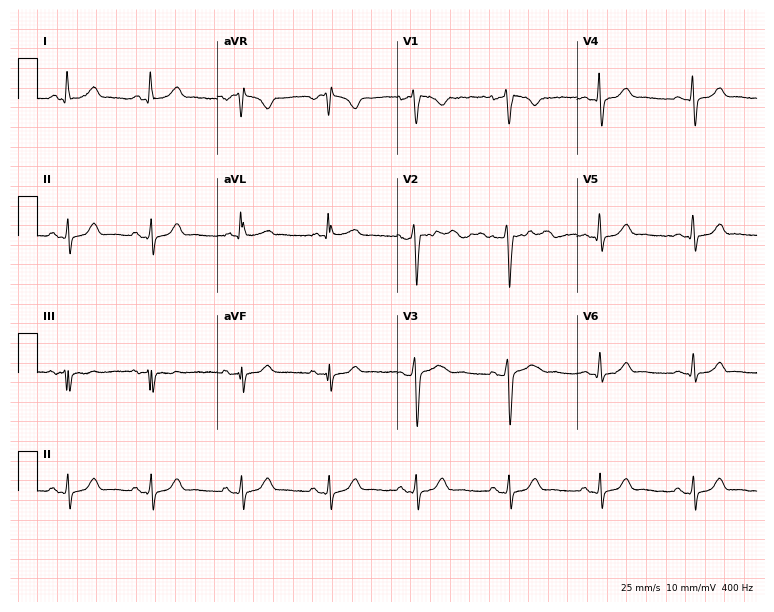
12-lead ECG from a female, 31 years old. Labelled as a normal ECG.